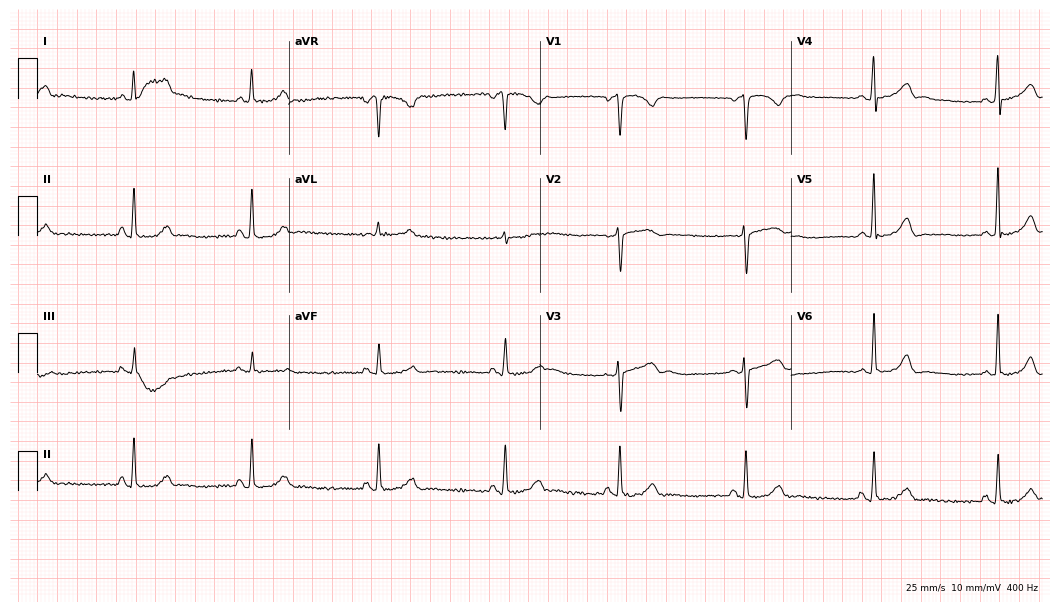
12-lead ECG from a 44-year-old female patient (10.2-second recording at 400 Hz). Recorded interpretation: within normal limits.